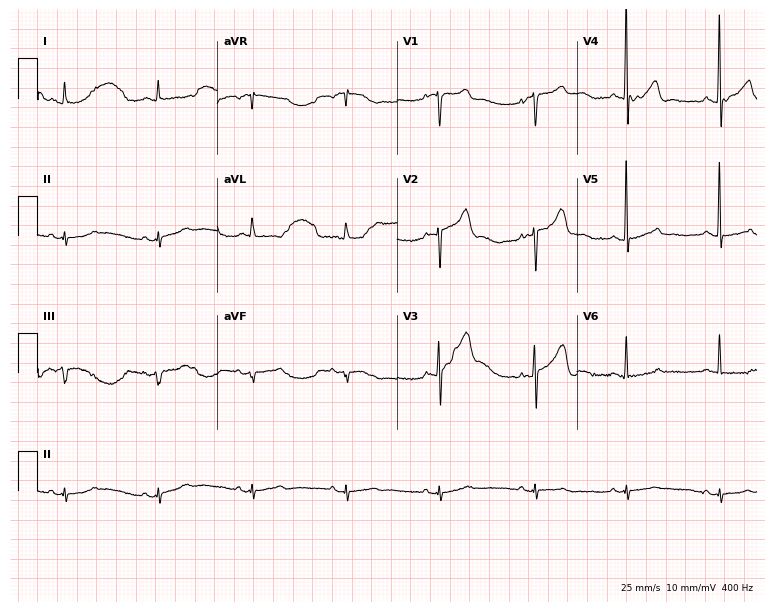
Resting 12-lead electrocardiogram (7.3-second recording at 400 Hz). Patient: a male, 75 years old. None of these six findings is recorded: first-degree AV block, right bundle branch block, left bundle branch block, sinus bradycardia, atrial fibrillation, sinus tachycardia.